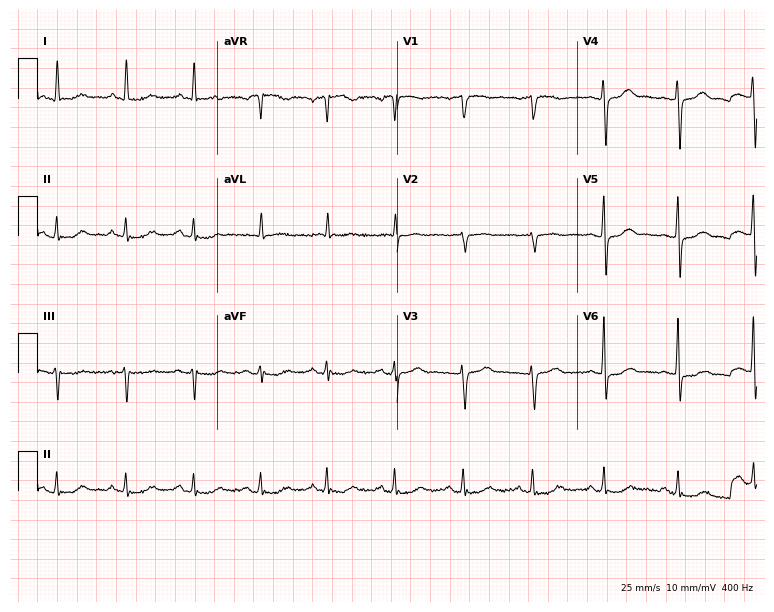
Resting 12-lead electrocardiogram (7.3-second recording at 400 Hz). Patient: a female, 72 years old. None of these six findings is recorded: first-degree AV block, right bundle branch block, left bundle branch block, sinus bradycardia, atrial fibrillation, sinus tachycardia.